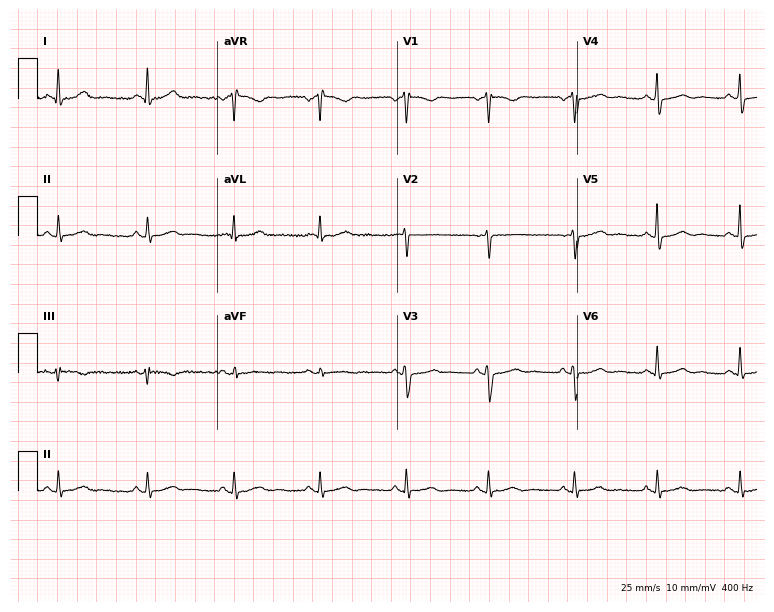
Resting 12-lead electrocardiogram. Patient: a 41-year-old female. Read as a normal ECG.